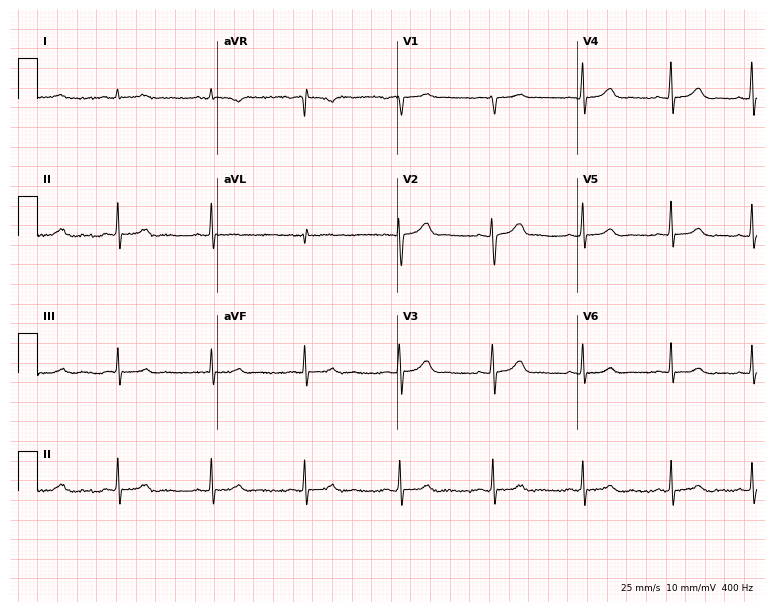
Resting 12-lead electrocardiogram (7.3-second recording at 400 Hz). Patient: a 25-year-old female. None of these six findings is recorded: first-degree AV block, right bundle branch block, left bundle branch block, sinus bradycardia, atrial fibrillation, sinus tachycardia.